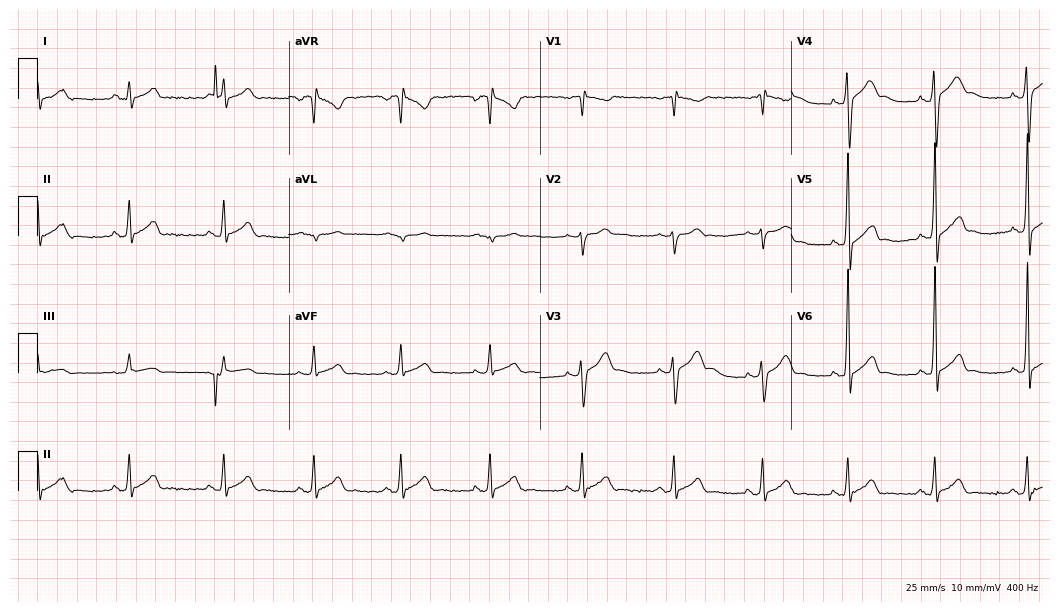
Electrocardiogram, a 21-year-old male. Overall reading on record: normal ECG.